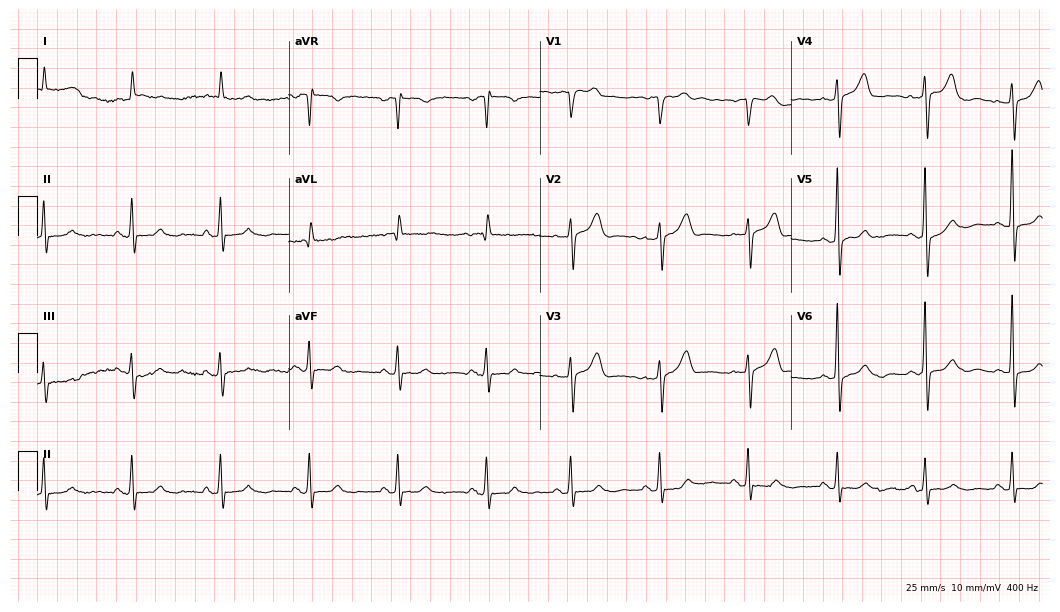
Resting 12-lead electrocardiogram (10.2-second recording at 400 Hz). Patient: an 82-year-old man. Read as a normal ECG.